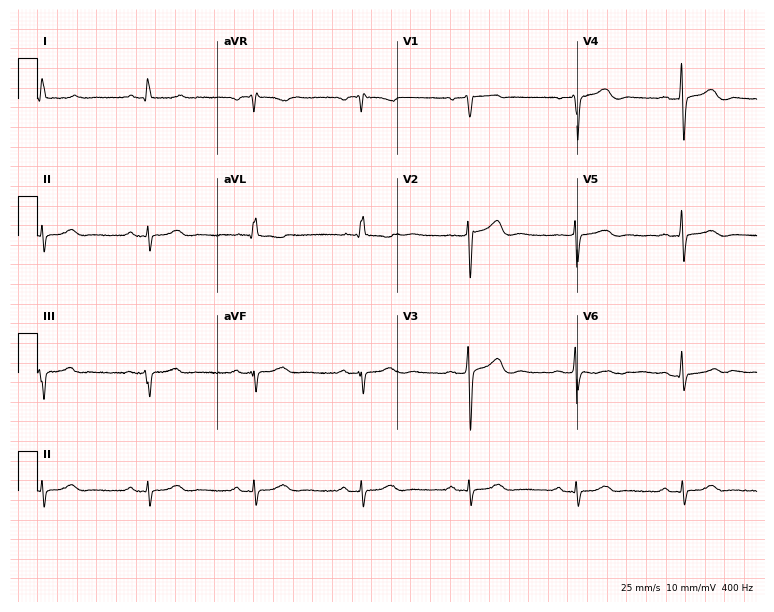
Resting 12-lead electrocardiogram. Patient: a female, 69 years old. None of these six findings is recorded: first-degree AV block, right bundle branch block, left bundle branch block, sinus bradycardia, atrial fibrillation, sinus tachycardia.